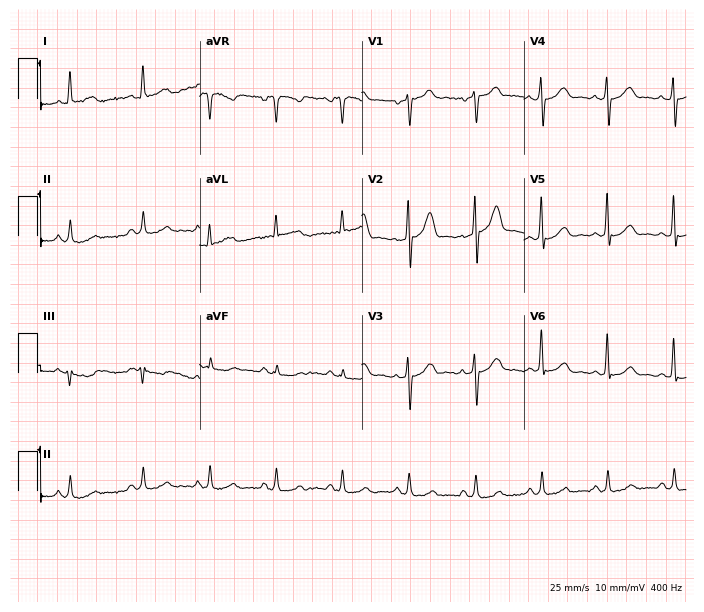
12-lead ECG from a man, 72 years old. Labelled as a normal ECG.